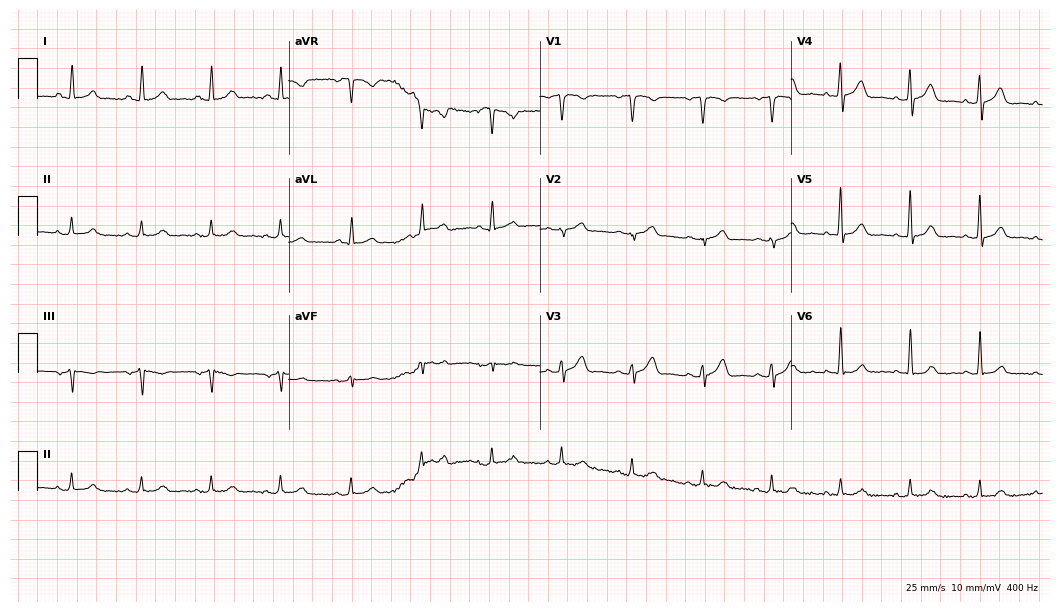
ECG (10.2-second recording at 400 Hz) — a 56-year-old male. Labelled as a normal ECG.